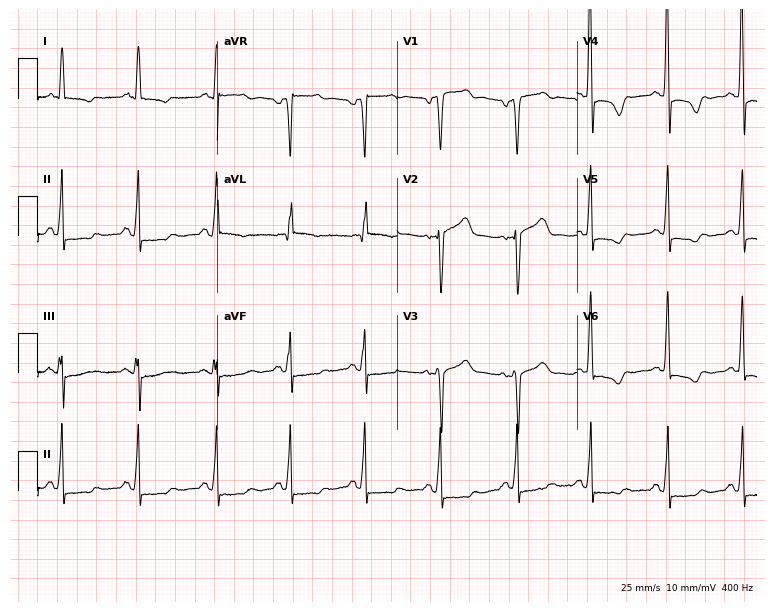
ECG — a 65-year-old man. Screened for six findings — first-degree AV block, right bundle branch block, left bundle branch block, sinus bradycardia, atrial fibrillation, sinus tachycardia — none is recorded.